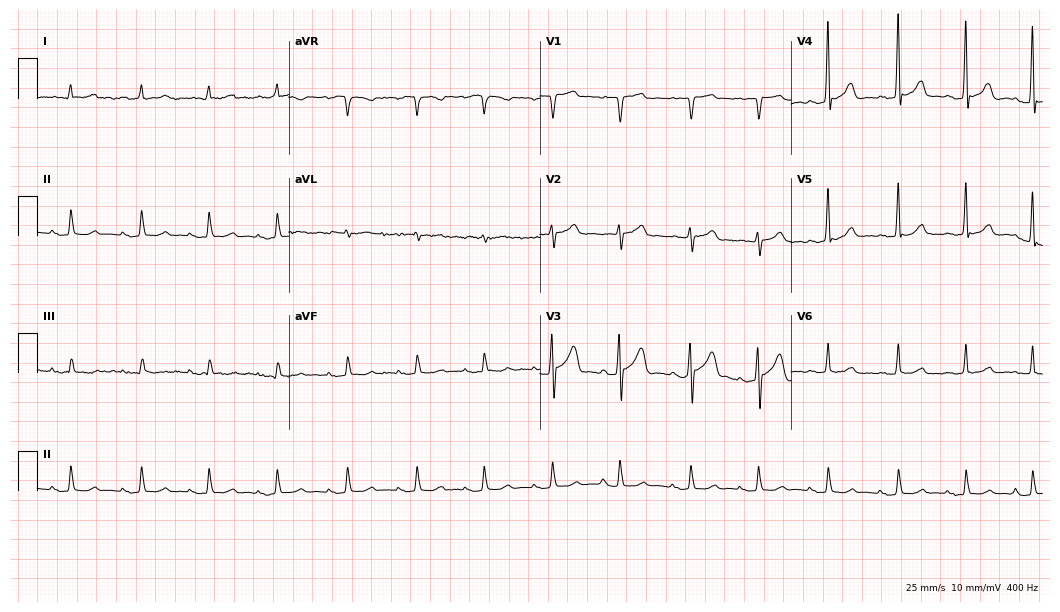
12-lead ECG from a male patient, 85 years old (10.2-second recording at 400 Hz). Recorded interpretation: within normal limits.